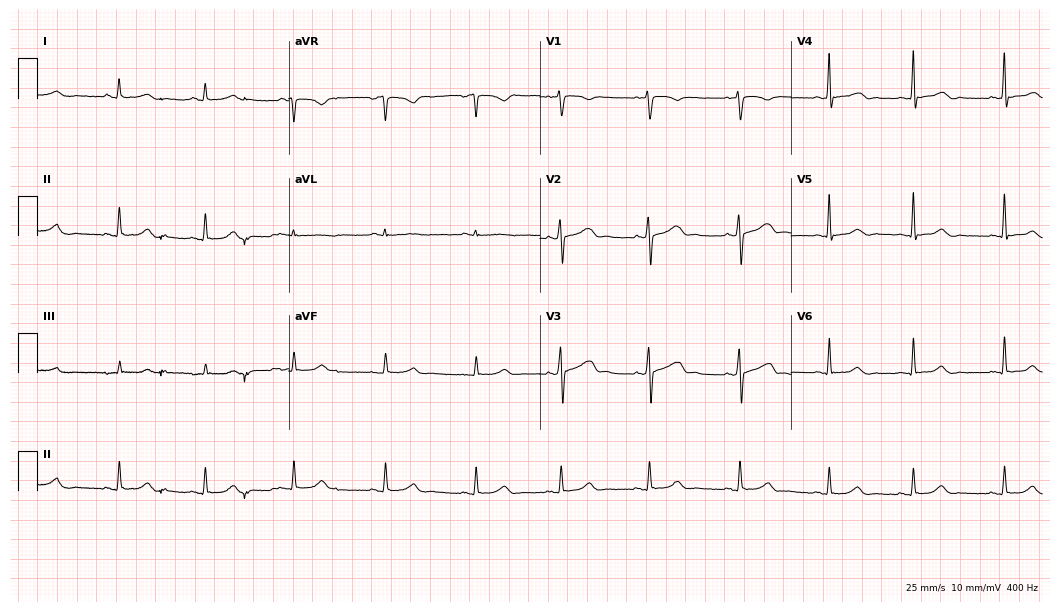
12-lead ECG from a 28-year-old woman. Recorded interpretation: within normal limits.